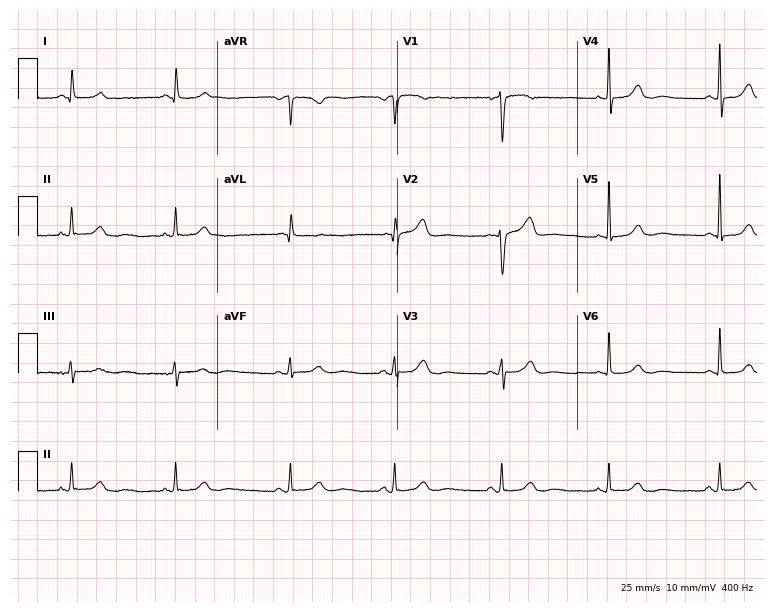
12-lead ECG from a woman, 61 years old. No first-degree AV block, right bundle branch block, left bundle branch block, sinus bradycardia, atrial fibrillation or sinus tachycardia recorded for this tracing.